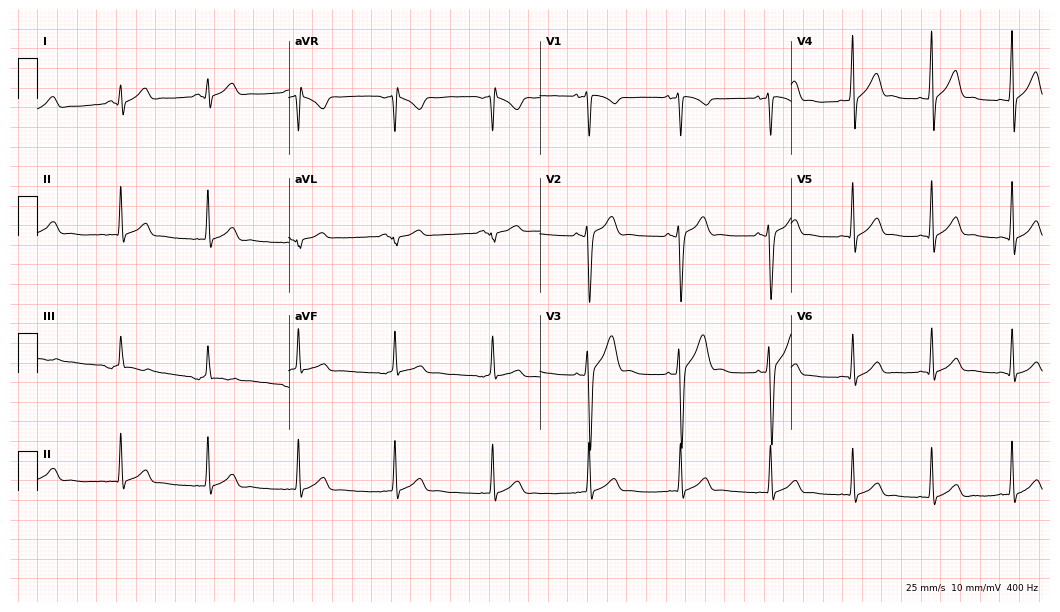
Resting 12-lead electrocardiogram. Patient: a 20-year-old male. Read as a normal ECG.